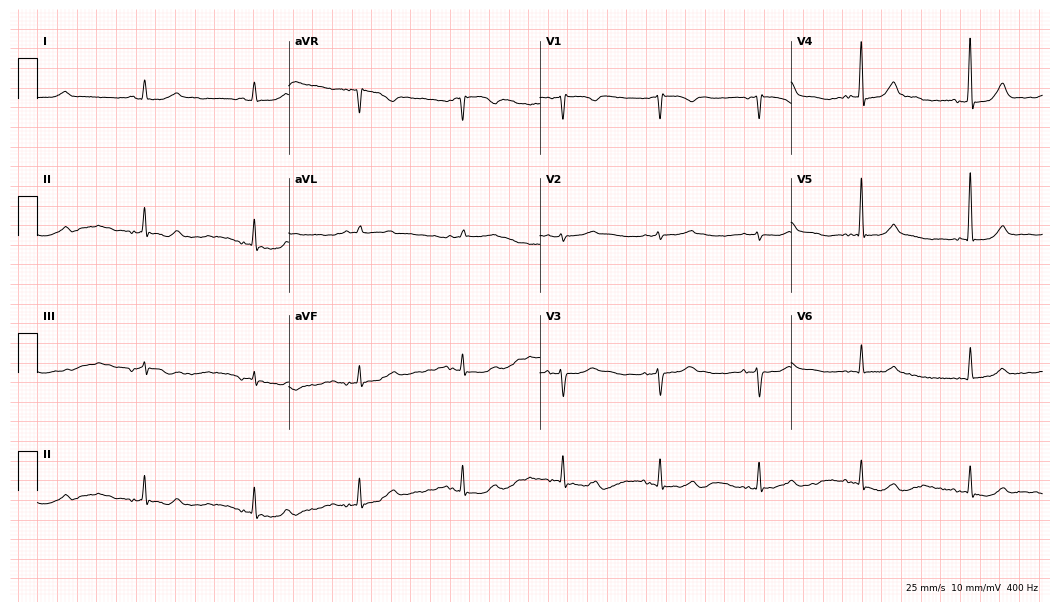
ECG — an 83-year-old female. Labelled as a normal ECG.